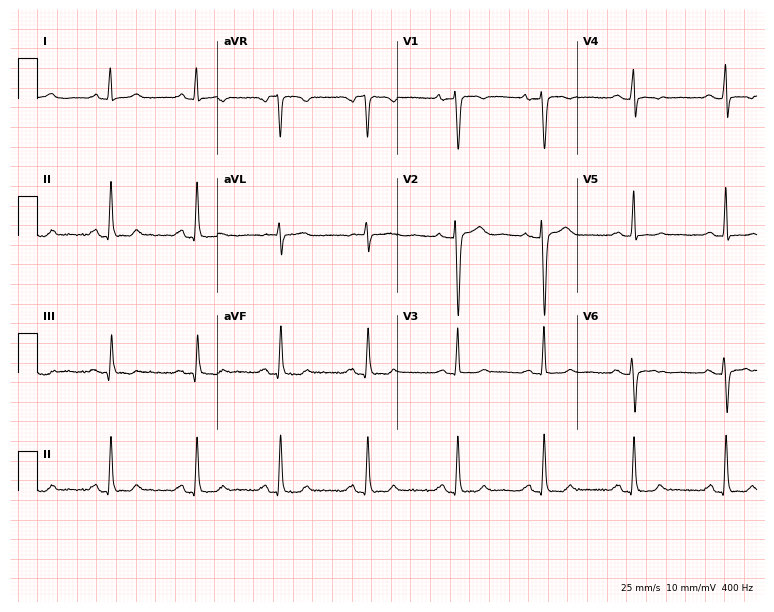
ECG — a female, 29 years old. Labelled as a normal ECG.